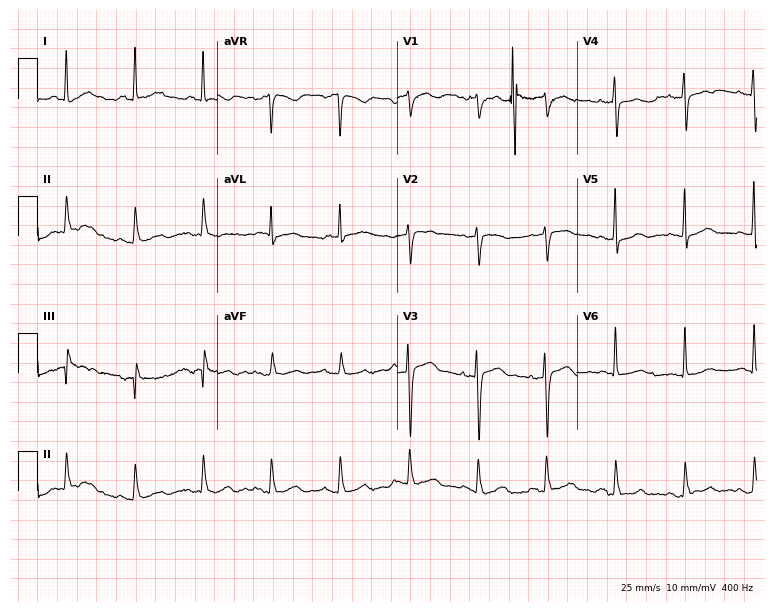
Standard 12-lead ECG recorded from a 64-year-old female patient. Read as a normal ECG.